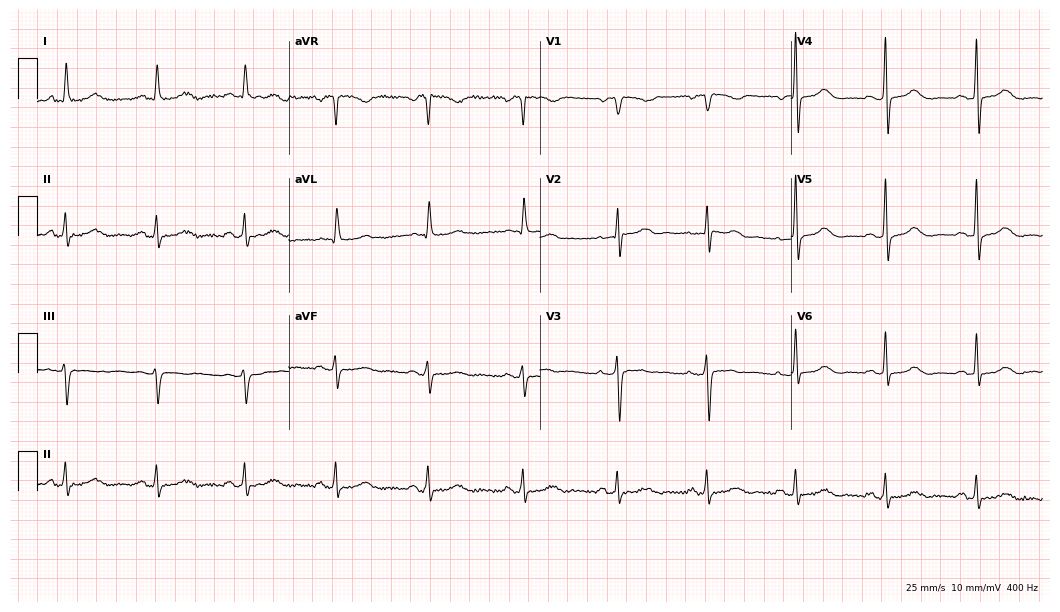
Electrocardiogram, a female patient, 52 years old. Overall reading on record: normal ECG.